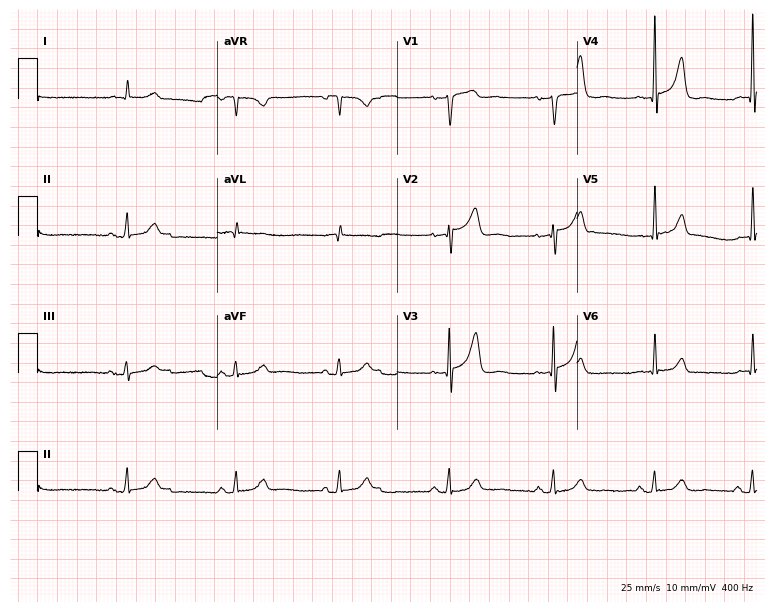
ECG — a 77-year-old man. Screened for six findings — first-degree AV block, right bundle branch block, left bundle branch block, sinus bradycardia, atrial fibrillation, sinus tachycardia — none is recorded.